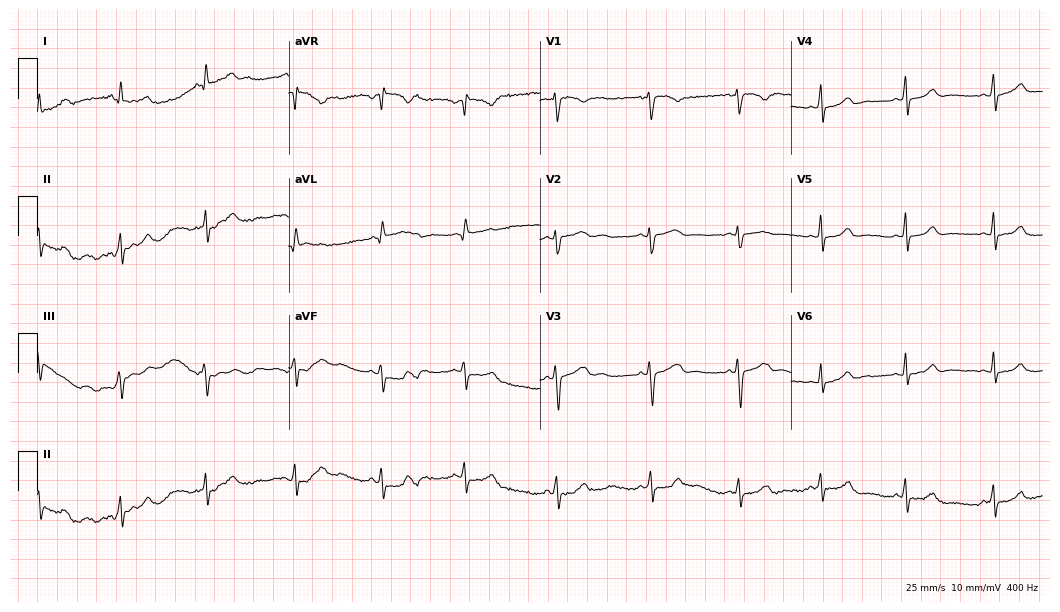
Resting 12-lead electrocardiogram. Patient: a woman, 29 years old. Read as a normal ECG.